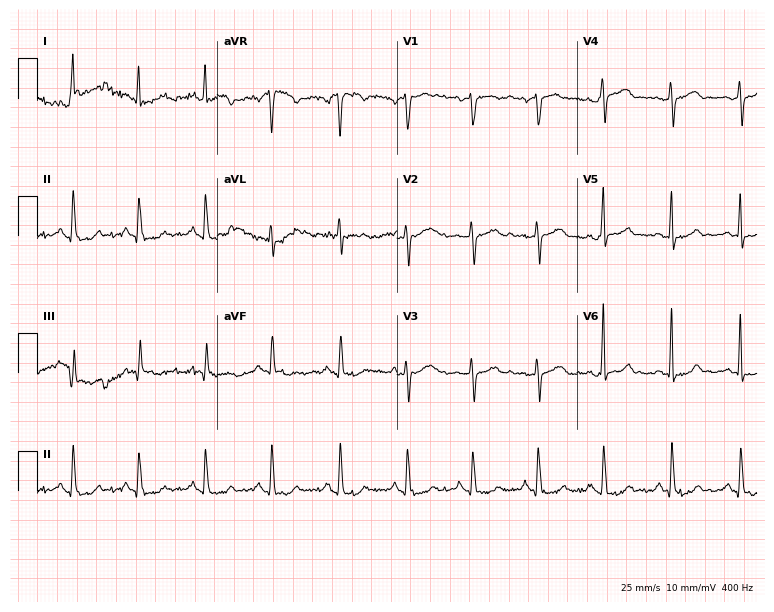
12-lead ECG from a 73-year-old woman. No first-degree AV block, right bundle branch block (RBBB), left bundle branch block (LBBB), sinus bradycardia, atrial fibrillation (AF) or sinus tachycardia recorded for this tracing.